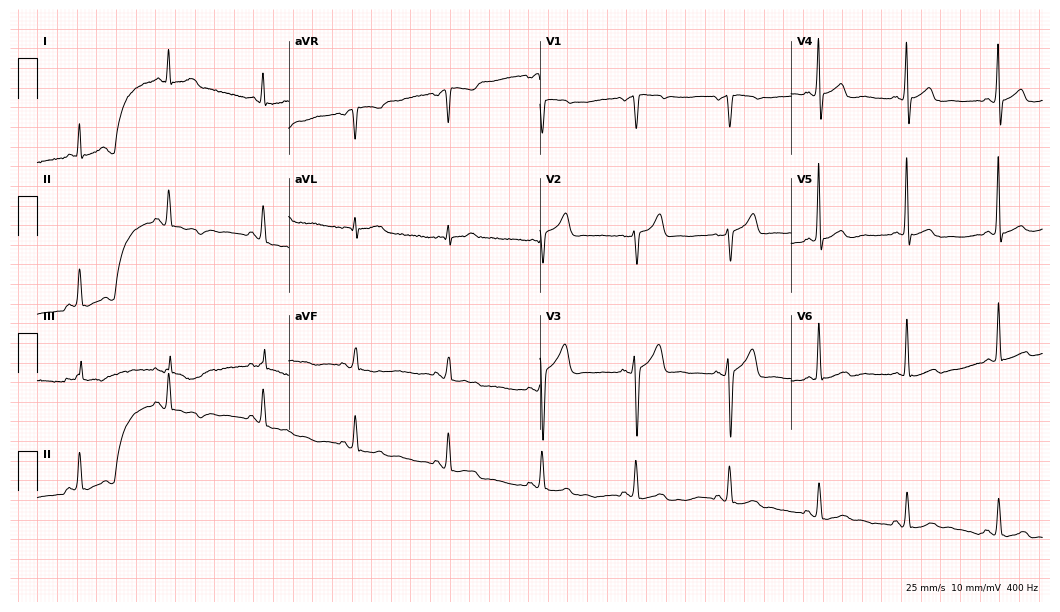
Standard 12-lead ECG recorded from a 42-year-old male (10.2-second recording at 400 Hz). Read as a normal ECG.